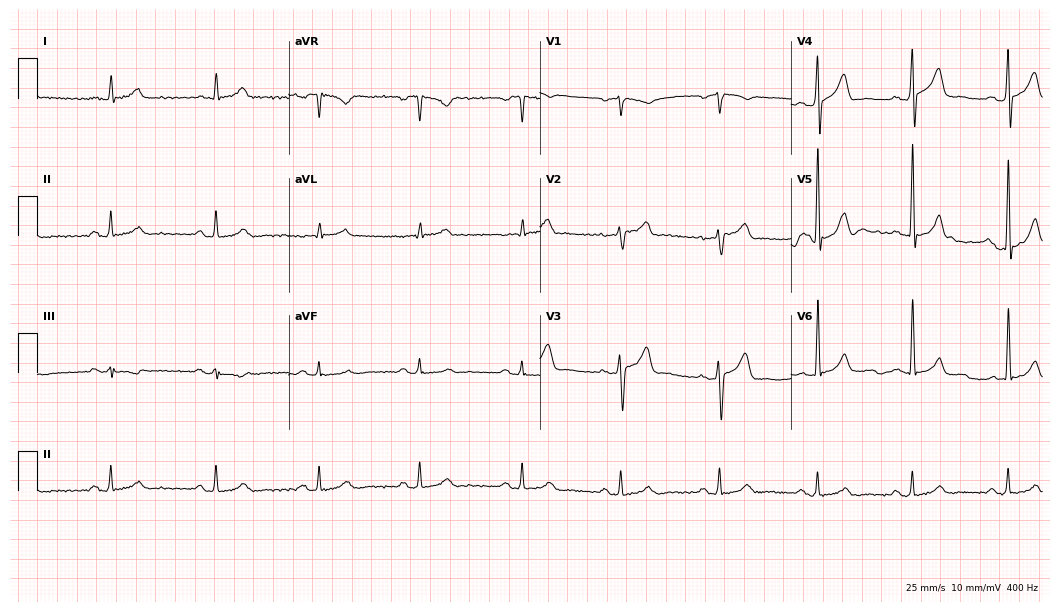
Resting 12-lead electrocardiogram. Patient: a 56-year-old male. Read as a normal ECG.